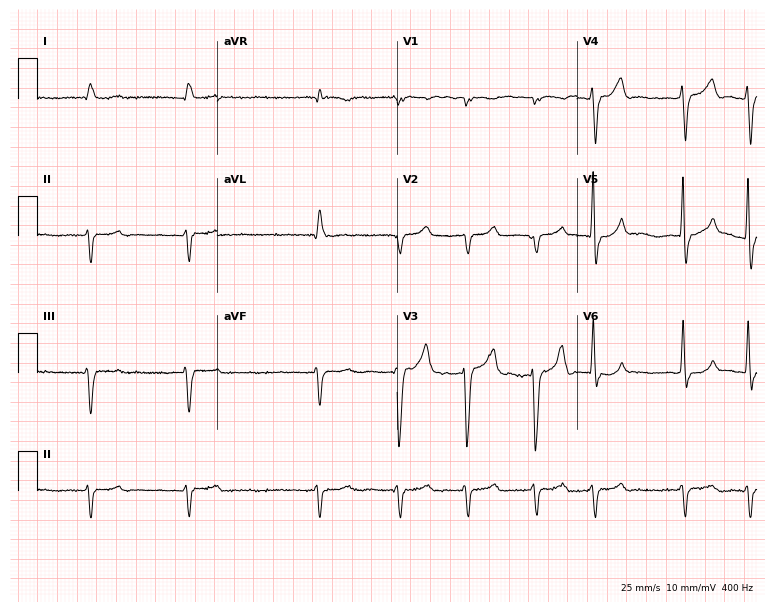
Standard 12-lead ECG recorded from a male, 74 years old. The tracing shows atrial fibrillation (AF).